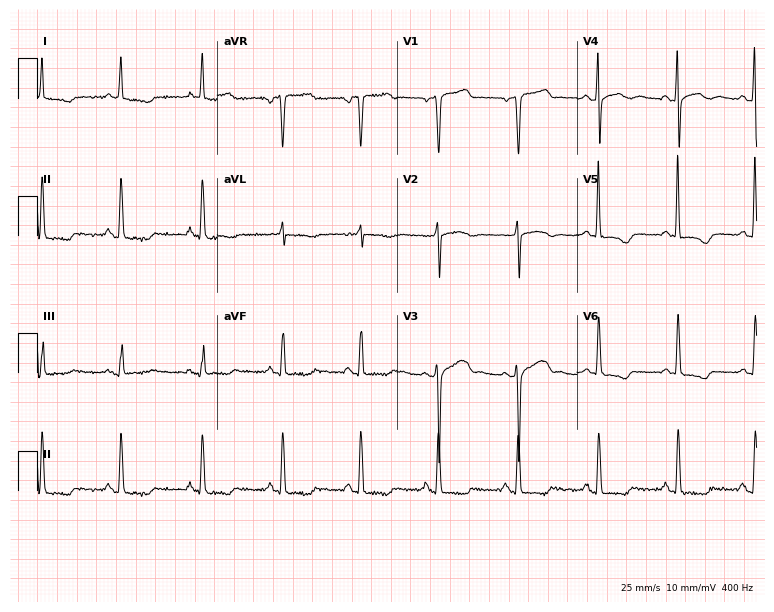
Electrocardiogram (7.3-second recording at 400 Hz), a woman, 75 years old. Of the six screened findings (first-degree AV block, right bundle branch block (RBBB), left bundle branch block (LBBB), sinus bradycardia, atrial fibrillation (AF), sinus tachycardia), none is recorded. Only these six findings were labelled.